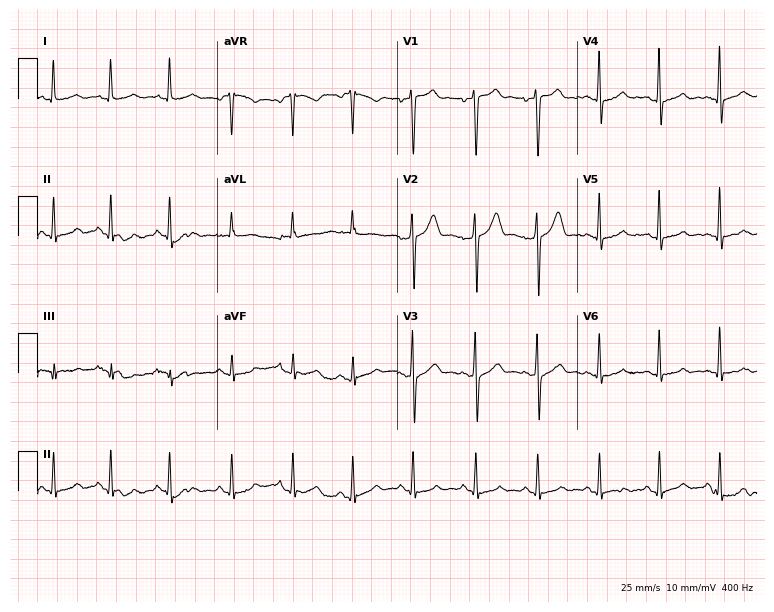
Standard 12-lead ECG recorded from a man, 55 years old (7.3-second recording at 400 Hz). Read as a normal ECG.